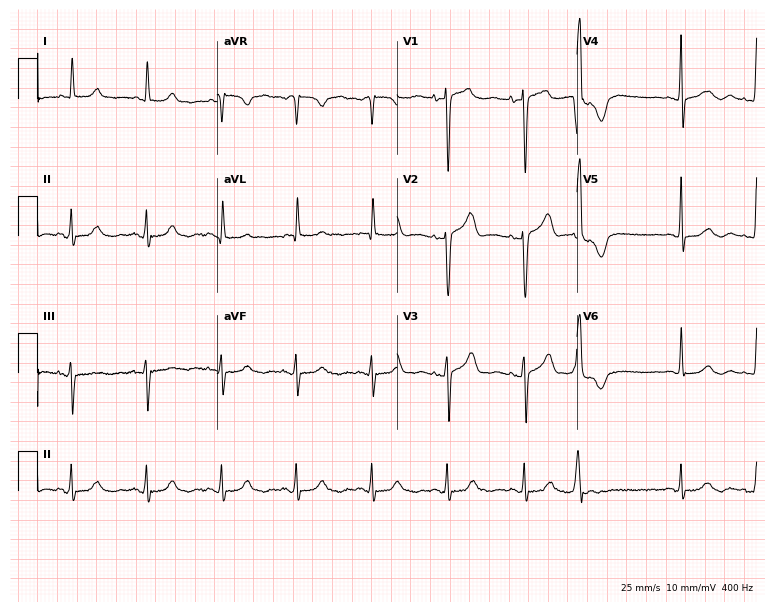
ECG — a woman, 70 years old. Screened for six findings — first-degree AV block, right bundle branch block (RBBB), left bundle branch block (LBBB), sinus bradycardia, atrial fibrillation (AF), sinus tachycardia — none is recorded. Only these six findings were labelled.